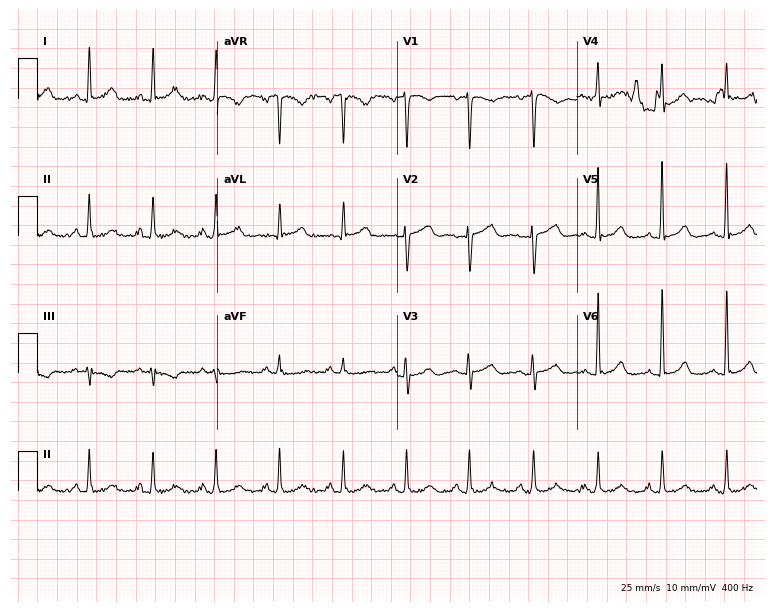
Standard 12-lead ECG recorded from a 50-year-old female patient (7.3-second recording at 400 Hz). Read as a normal ECG.